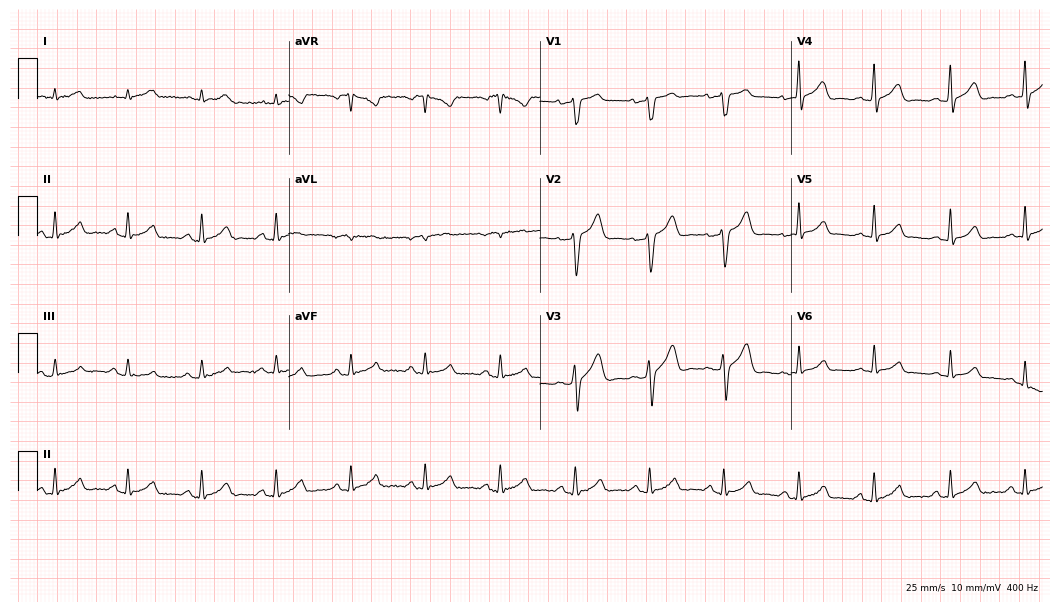
12-lead ECG (10.2-second recording at 400 Hz) from a 32-year-old man. Labelled as a normal ECG.